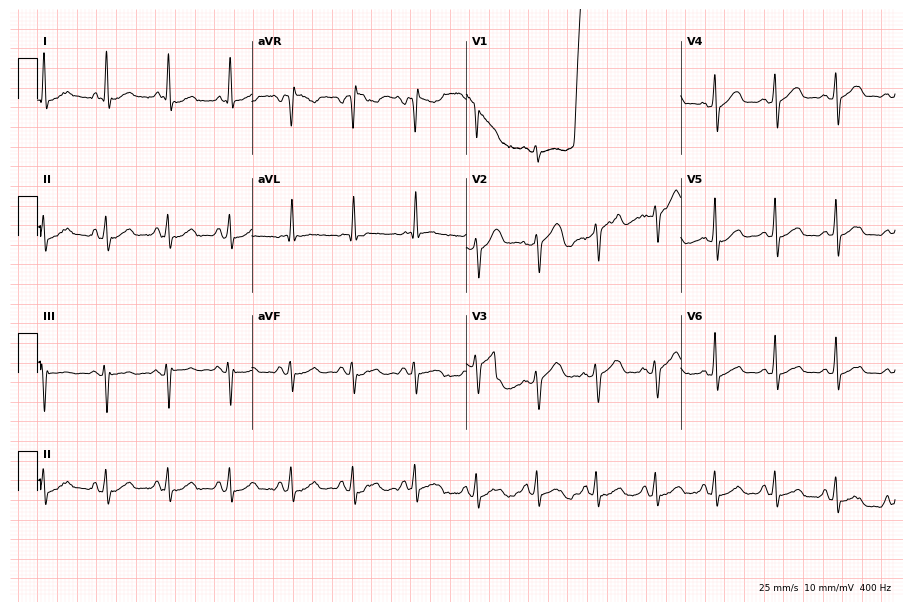
Standard 12-lead ECG recorded from a 63-year-old male patient (8.7-second recording at 400 Hz). Read as a normal ECG.